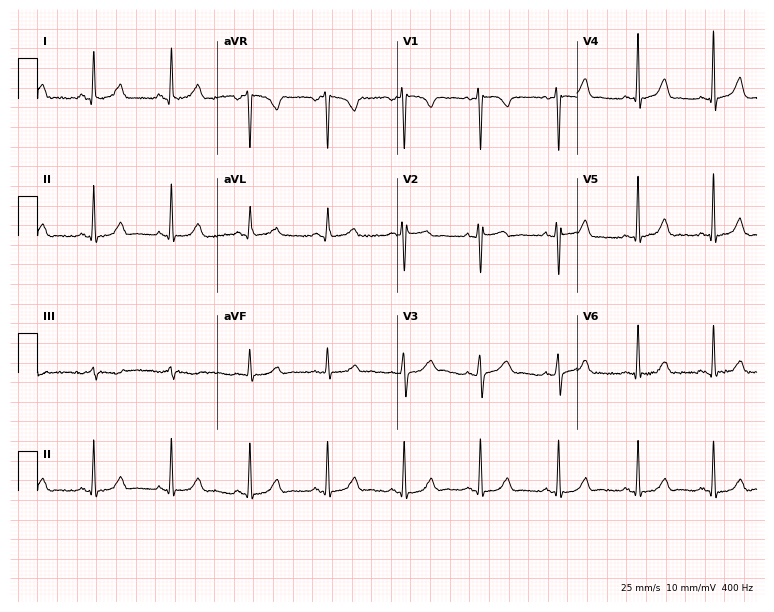
Resting 12-lead electrocardiogram (7.3-second recording at 400 Hz). Patient: a 21-year-old woman. Read as a normal ECG.